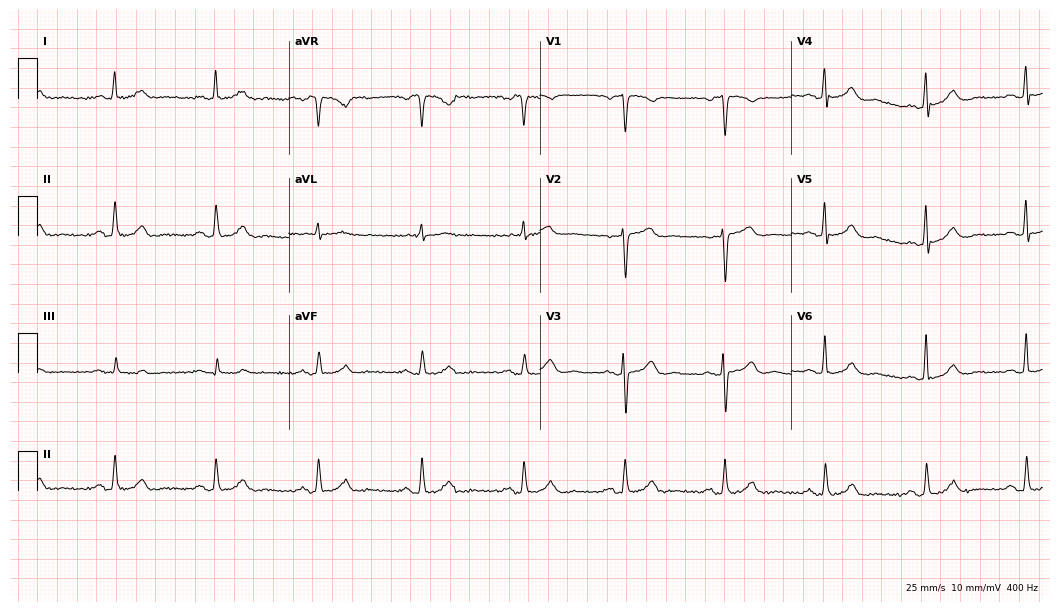
12-lead ECG from a male patient, 72 years old. Labelled as a normal ECG.